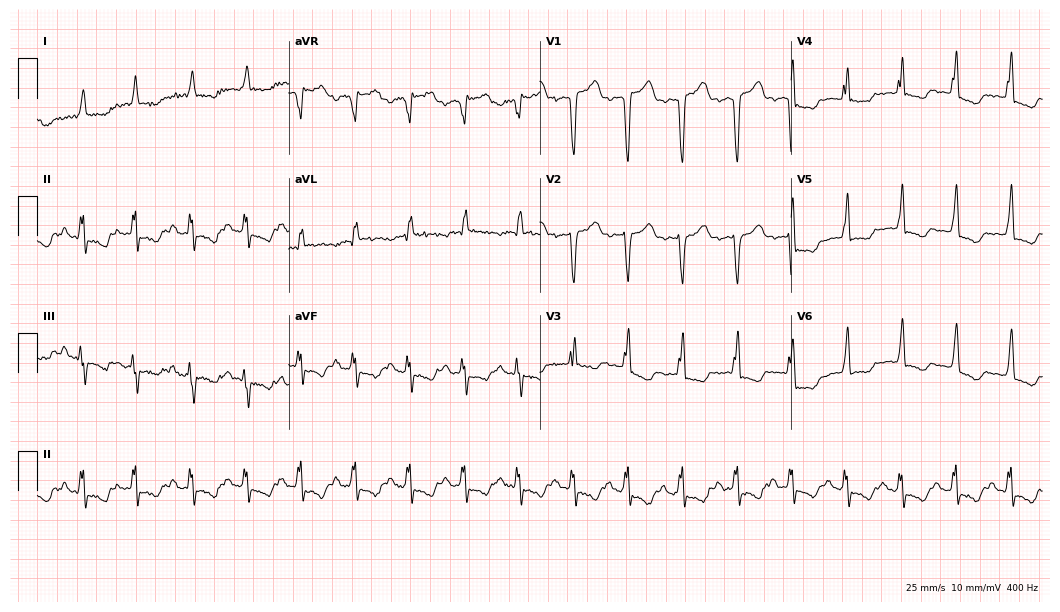
12-lead ECG from an 85-year-old man. No first-degree AV block, right bundle branch block, left bundle branch block, sinus bradycardia, atrial fibrillation or sinus tachycardia recorded for this tracing.